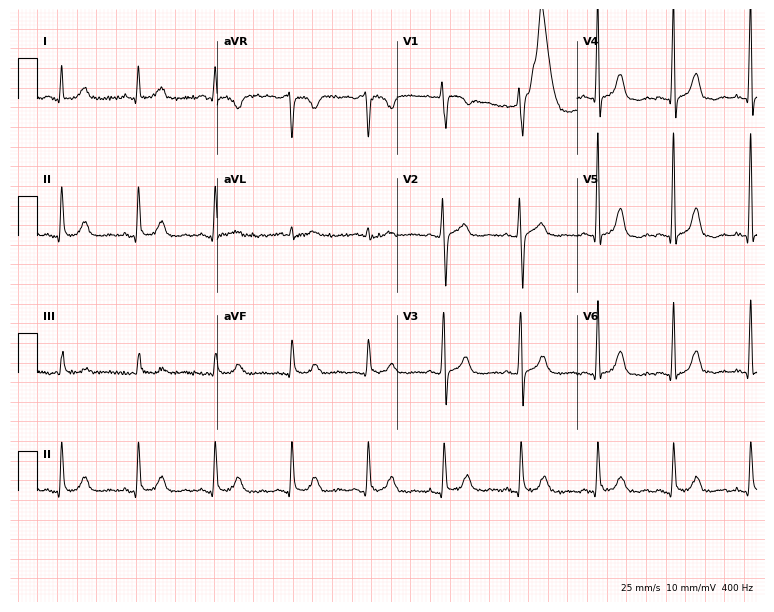
12-lead ECG from a 77-year-old male patient. No first-degree AV block, right bundle branch block, left bundle branch block, sinus bradycardia, atrial fibrillation or sinus tachycardia recorded for this tracing. Other findings, if any, are not listed.